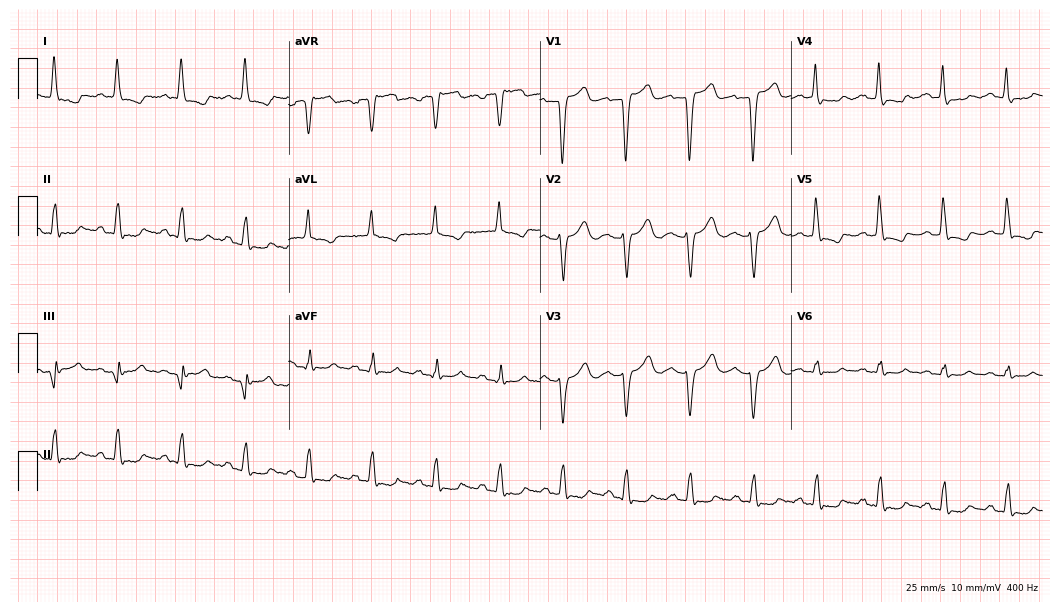
12-lead ECG from a 74-year-old female. No first-degree AV block, right bundle branch block, left bundle branch block, sinus bradycardia, atrial fibrillation or sinus tachycardia recorded for this tracing.